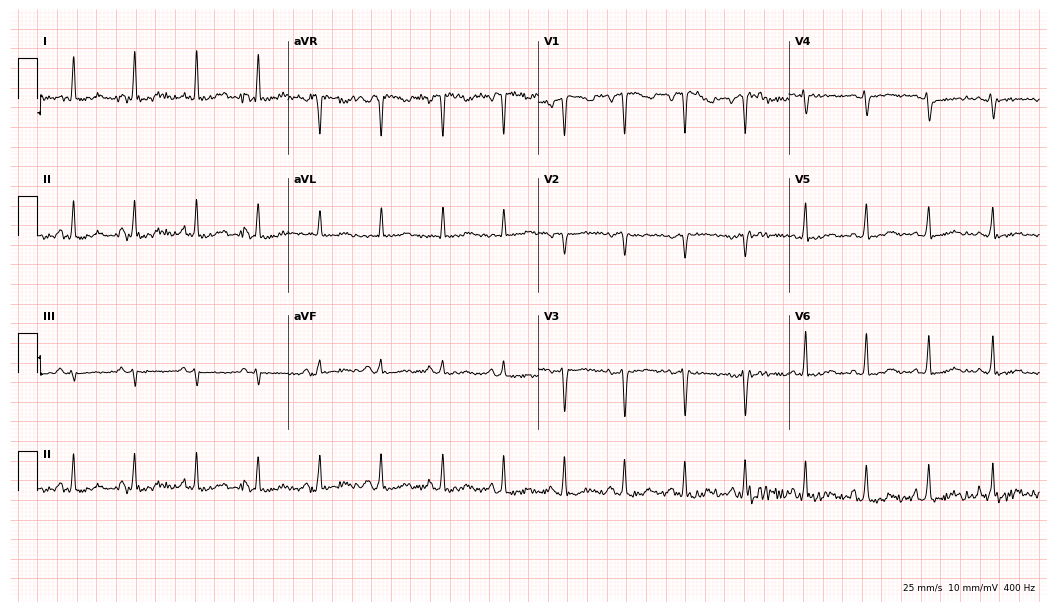
ECG — a 36-year-old woman. Screened for six findings — first-degree AV block, right bundle branch block, left bundle branch block, sinus bradycardia, atrial fibrillation, sinus tachycardia — none is recorded. Other findings, if any, are not listed.